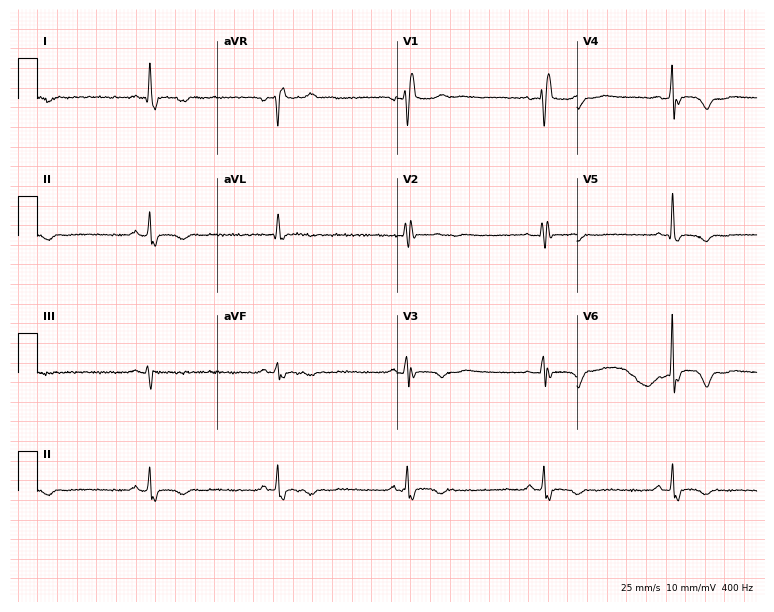
12-lead ECG from a female patient, 57 years old (7.3-second recording at 400 Hz). Shows right bundle branch block.